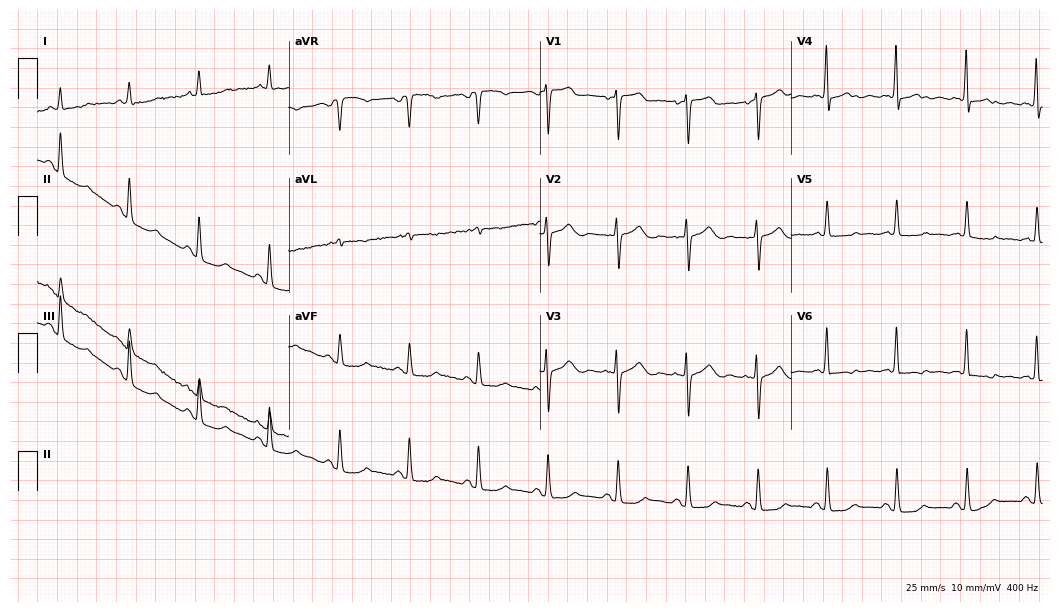
Standard 12-lead ECG recorded from a female patient, 80 years old (10.2-second recording at 400 Hz). None of these six findings is recorded: first-degree AV block, right bundle branch block, left bundle branch block, sinus bradycardia, atrial fibrillation, sinus tachycardia.